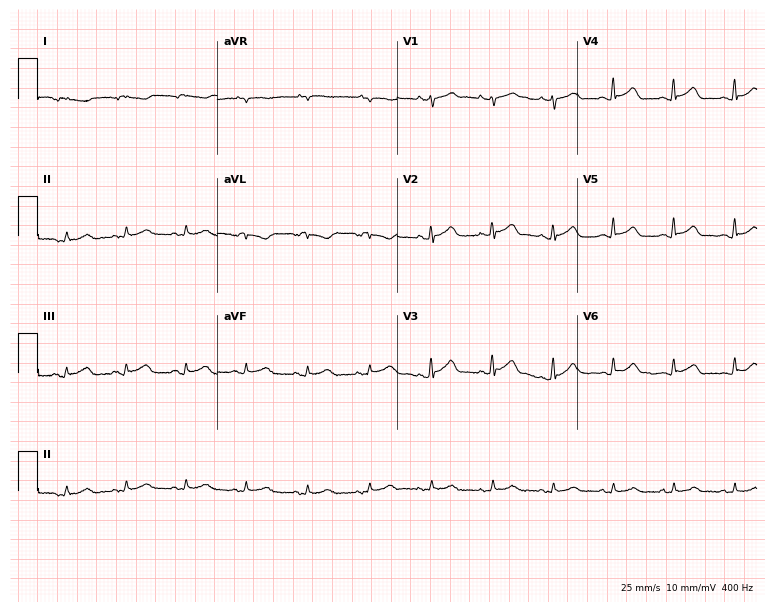
Electrocardiogram (7.3-second recording at 400 Hz), a 36-year-old female. Of the six screened findings (first-degree AV block, right bundle branch block, left bundle branch block, sinus bradycardia, atrial fibrillation, sinus tachycardia), none is recorded. Findings outside these six are not listed.